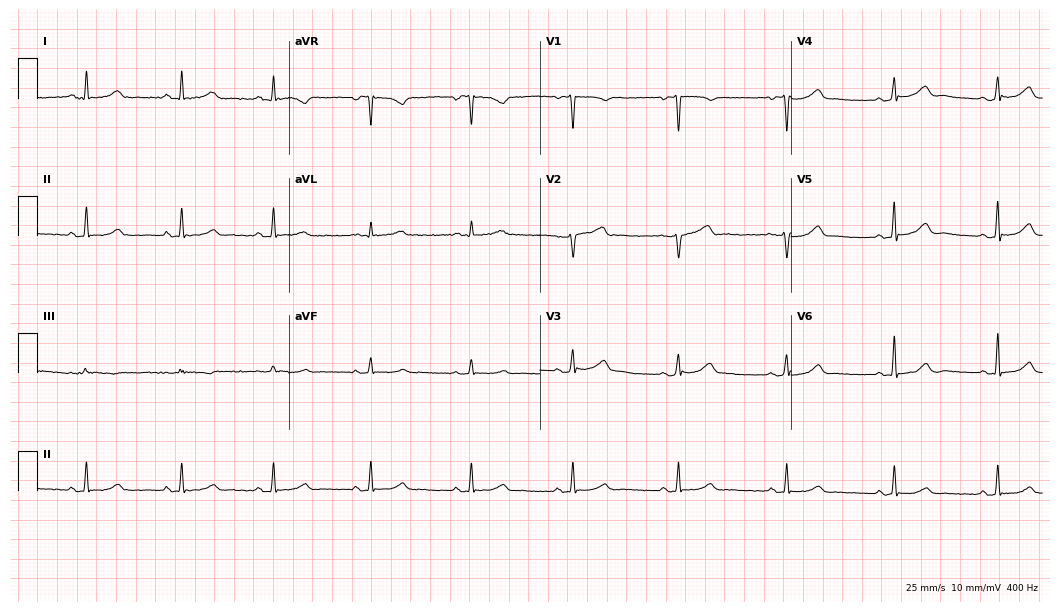
Electrocardiogram (10.2-second recording at 400 Hz), a woman, 40 years old. Overall reading on record: normal ECG.